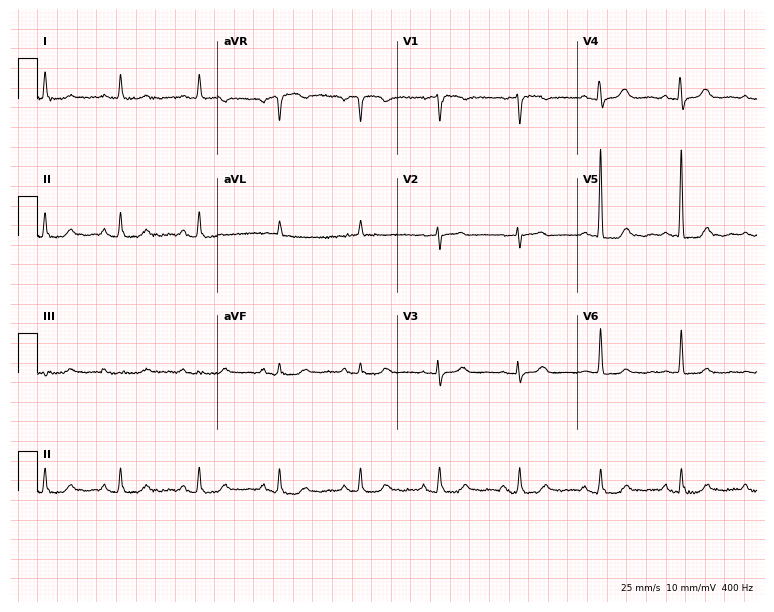
12-lead ECG (7.3-second recording at 400 Hz) from an 80-year-old female. Screened for six findings — first-degree AV block, right bundle branch block (RBBB), left bundle branch block (LBBB), sinus bradycardia, atrial fibrillation (AF), sinus tachycardia — none is recorded. Other findings, if any, are not listed.